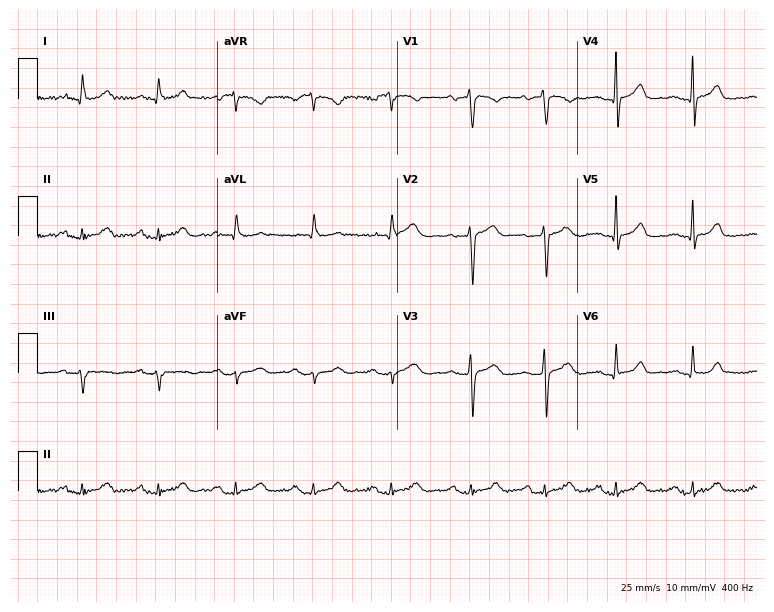
12-lead ECG from a 50-year-old female patient. Shows first-degree AV block.